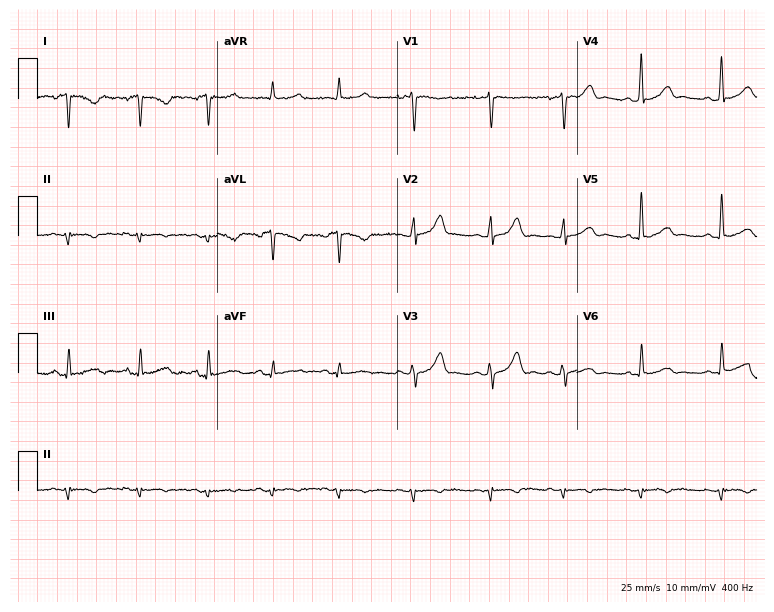
ECG (7.3-second recording at 400 Hz) — a female, 36 years old. Screened for six findings — first-degree AV block, right bundle branch block, left bundle branch block, sinus bradycardia, atrial fibrillation, sinus tachycardia — none is recorded. Only these six findings were labelled.